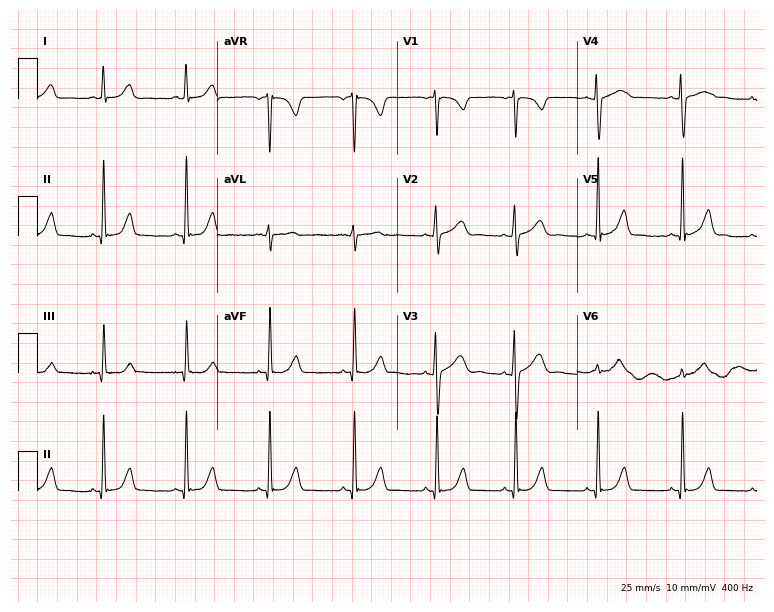
ECG (7.3-second recording at 400 Hz) — a 30-year-old female patient. Labelled as a normal ECG.